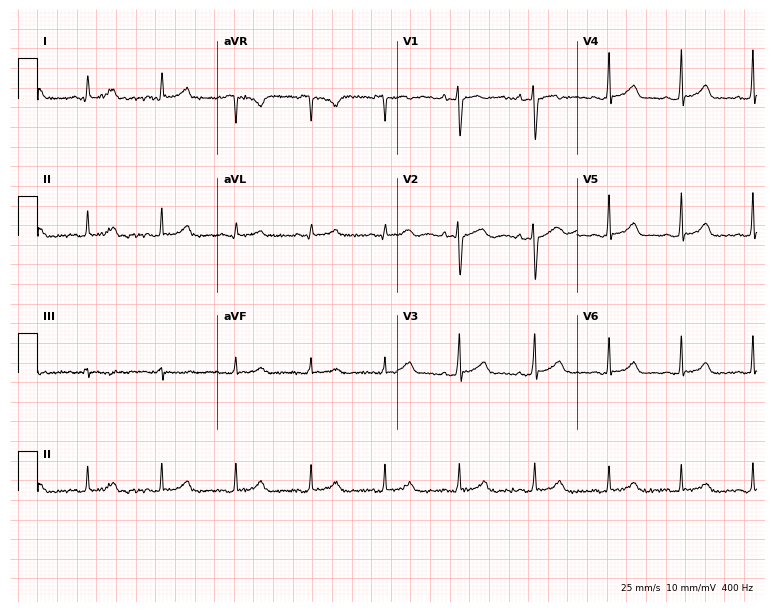
12-lead ECG from a female, 29 years old (7.3-second recording at 400 Hz). Recorded interpretation: within normal limits.